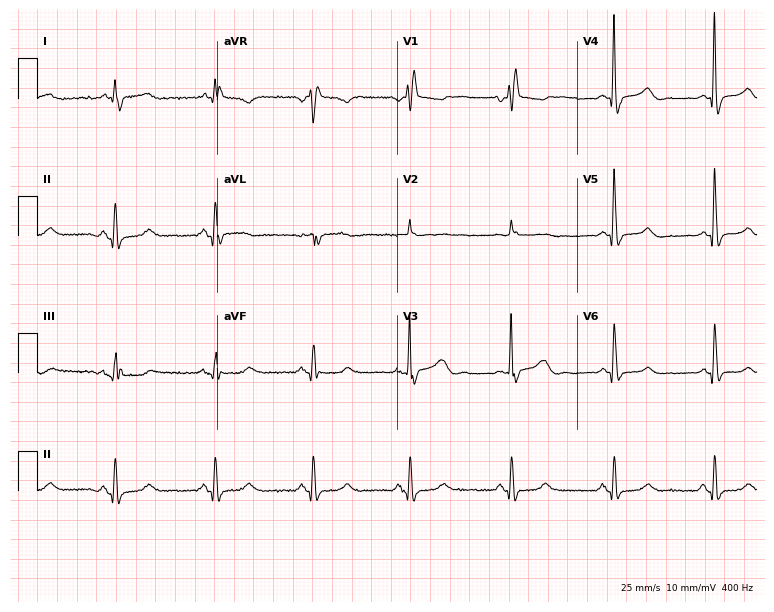
ECG (7.3-second recording at 400 Hz) — a 69-year-old female patient. Findings include right bundle branch block (RBBB).